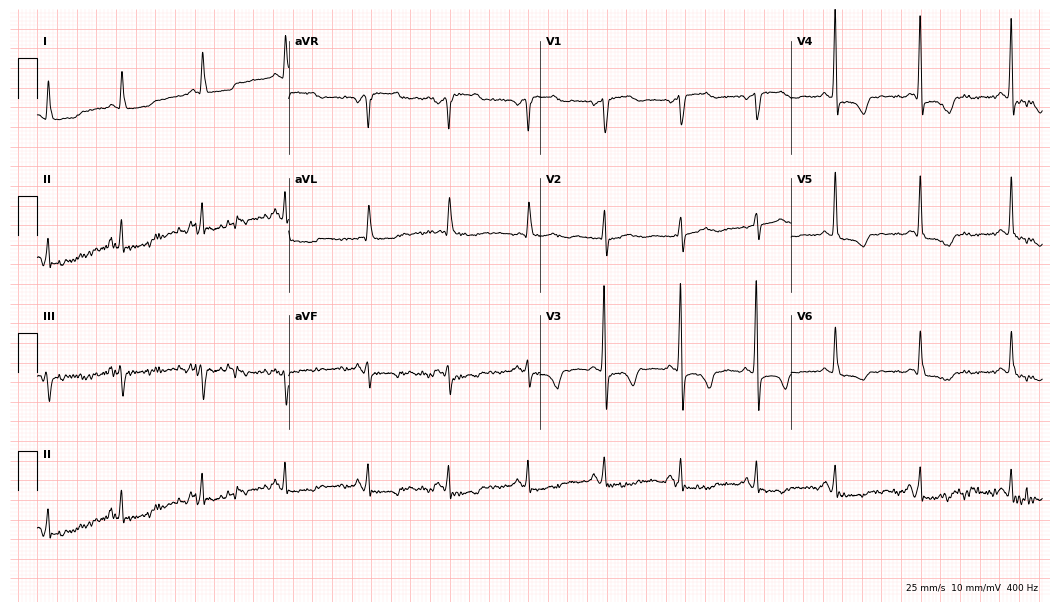
ECG (10.2-second recording at 400 Hz) — a female, 82 years old. Screened for six findings — first-degree AV block, right bundle branch block, left bundle branch block, sinus bradycardia, atrial fibrillation, sinus tachycardia — none is recorded. Findings outside these six are not listed.